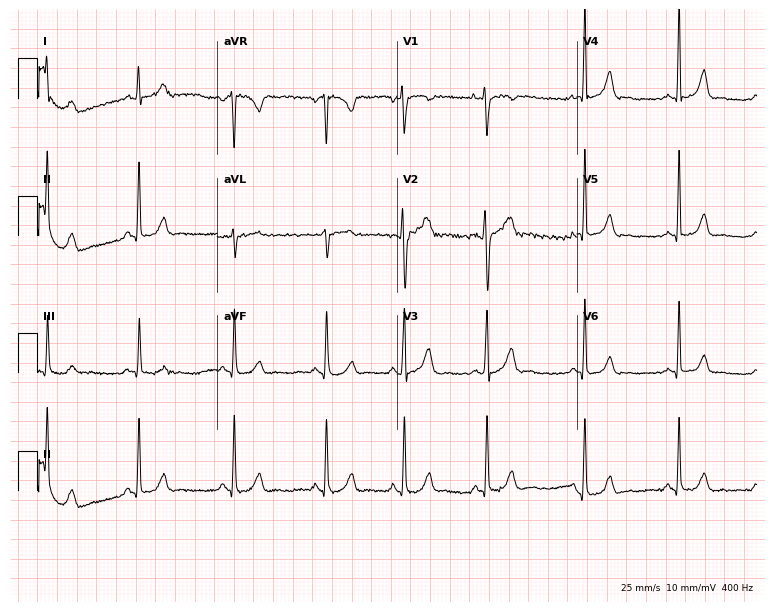
12-lead ECG (7.3-second recording at 400 Hz) from a 28-year-old female. Screened for six findings — first-degree AV block, right bundle branch block, left bundle branch block, sinus bradycardia, atrial fibrillation, sinus tachycardia — none is recorded. Findings outside these six are not listed.